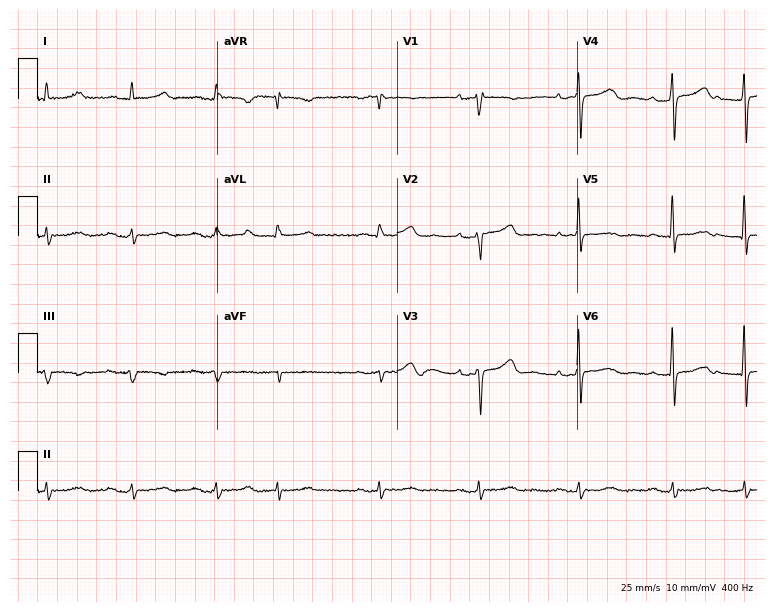
ECG — a male patient, 79 years old. Screened for six findings — first-degree AV block, right bundle branch block, left bundle branch block, sinus bradycardia, atrial fibrillation, sinus tachycardia — none is recorded.